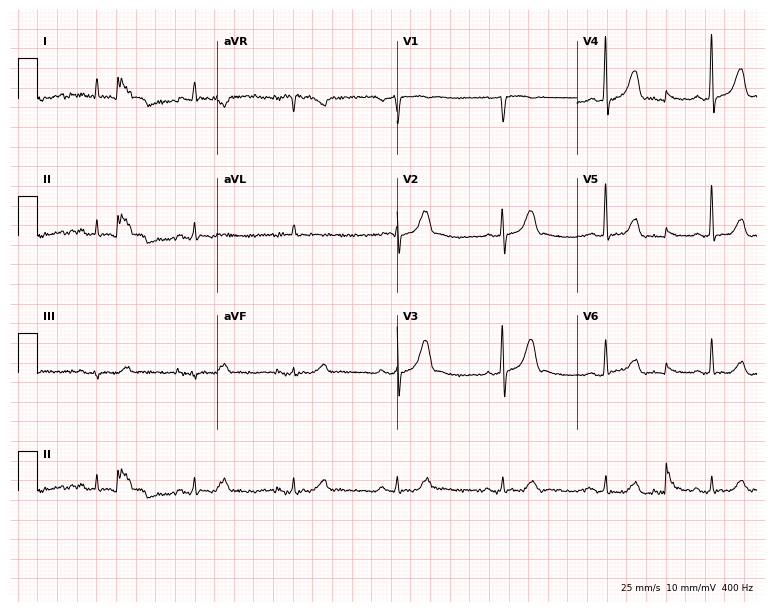
Electrocardiogram, a male patient, 80 years old. Of the six screened findings (first-degree AV block, right bundle branch block, left bundle branch block, sinus bradycardia, atrial fibrillation, sinus tachycardia), none is recorded.